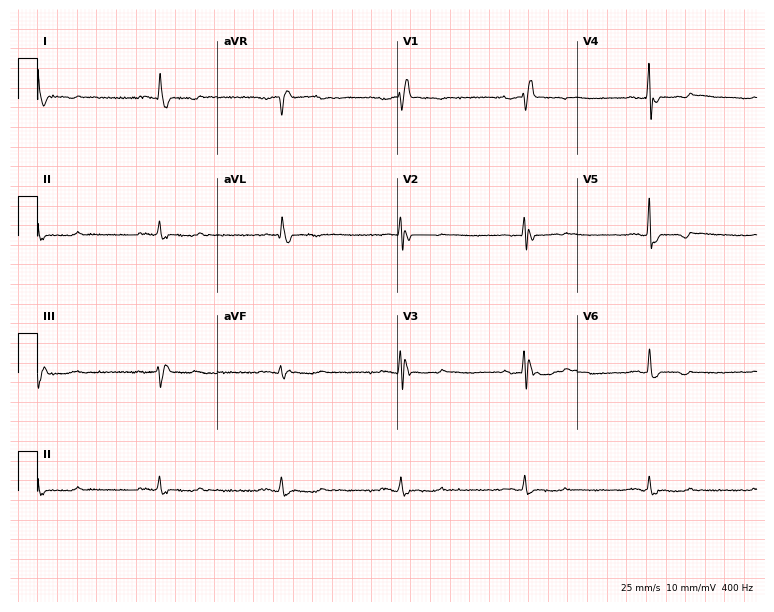
Electrocardiogram, a 73-year-old female patient. Interpretation includes right bundle branch block (RBBB), sinus bradycardia (a sinus rate of 50 beats per minute or less).